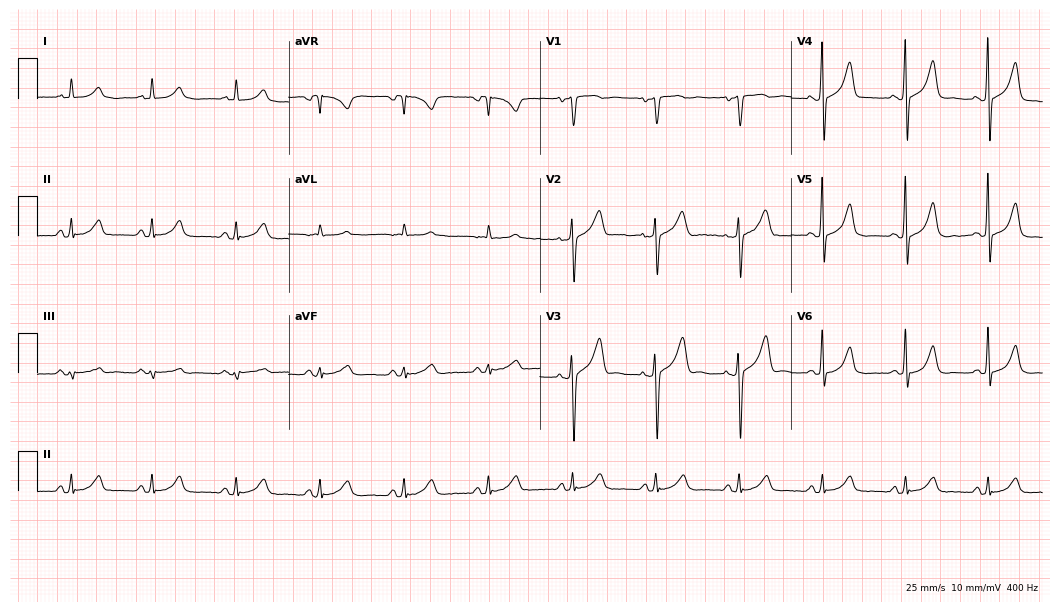
ECG (10.2-second recording at 400 Hz) — a man, 49 years old. Labelled as a normal ECG.